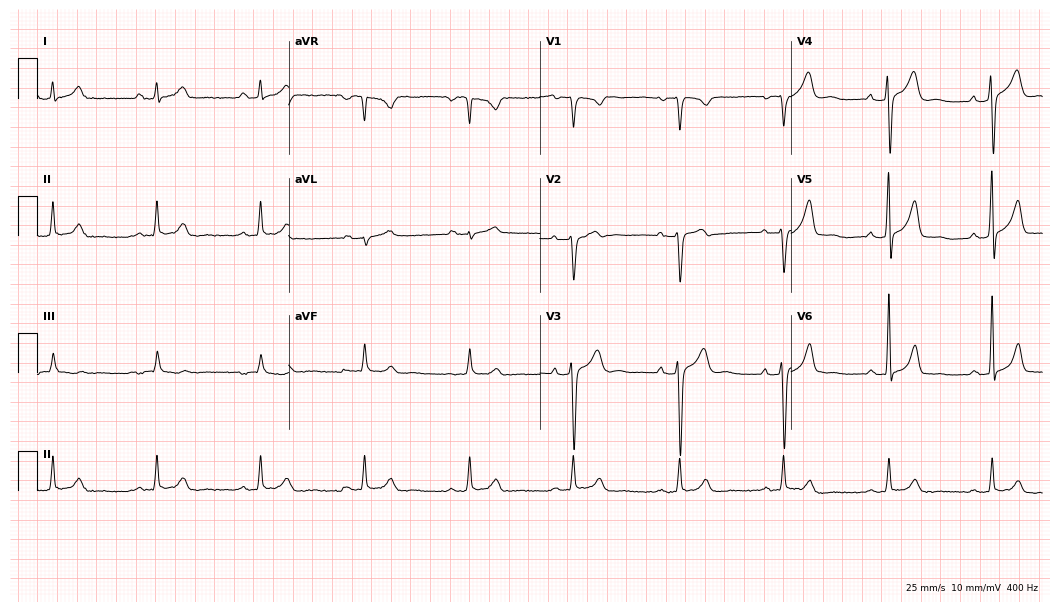
12-lead ECG (10.2-second recording at 400 Hz) from a man, 49 years old. Labelled as a normal ECG.